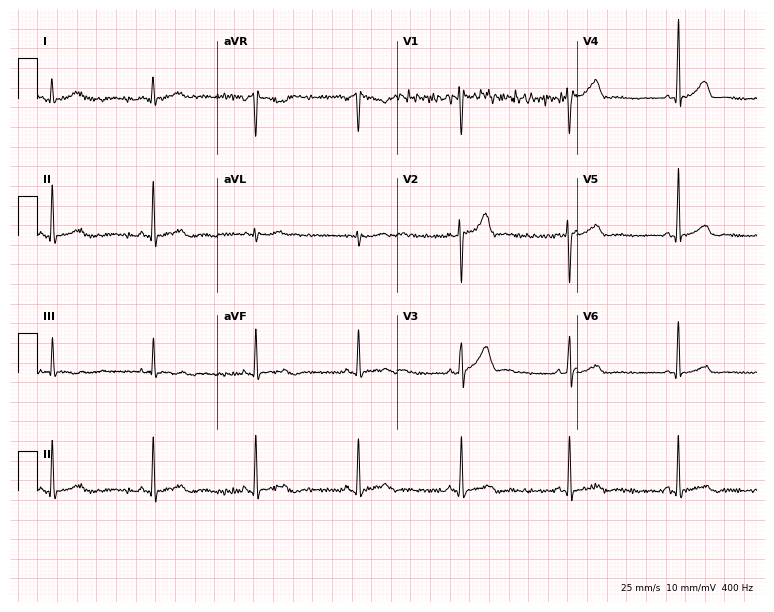
12-lead ECG (7.3-second recording at 400 Hz) from a male patient, 29 years old. Labelled as a normal ECG.